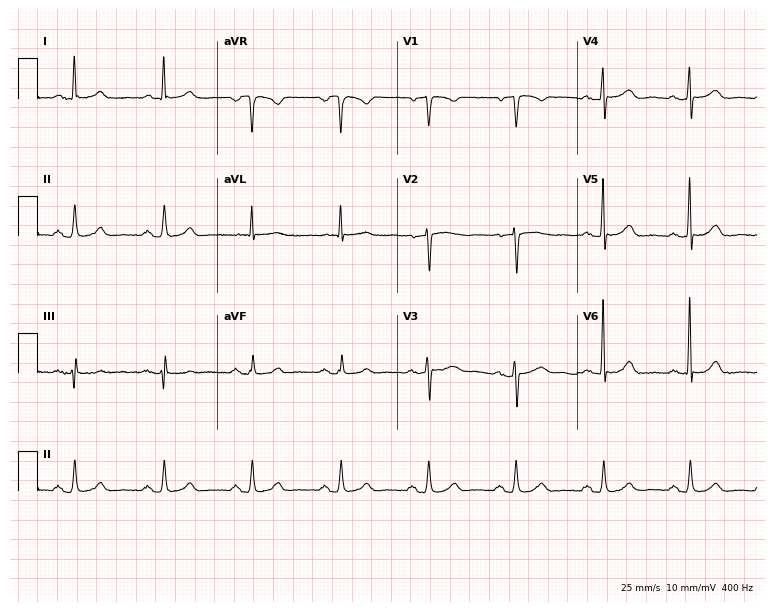
Electrocardiogram, a man, 82 years old. Of the six screened findings (first-degree AV block, right bundle branch block, left bundle branch block, sinus bradycardia, atrial fibrillation, sinus tachycardia), none is recorded.